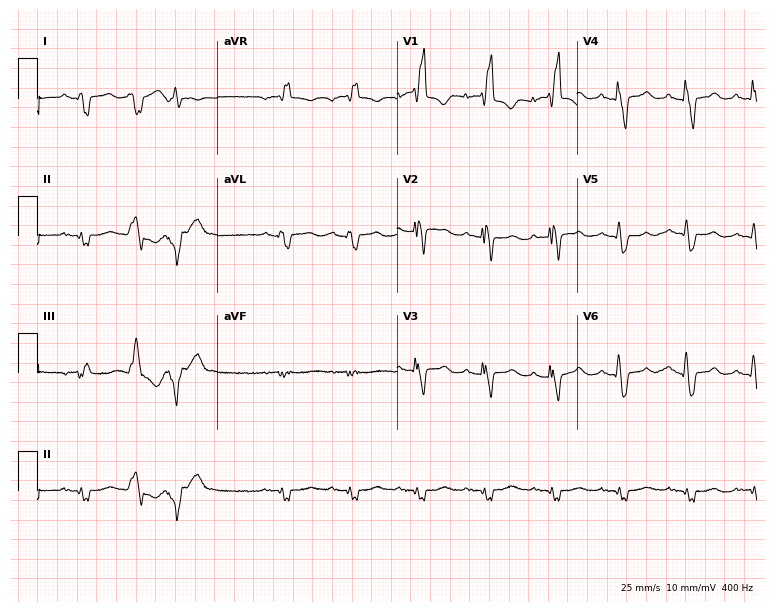
ECG — a 66-year-old man. Findings include right bundle branch block.